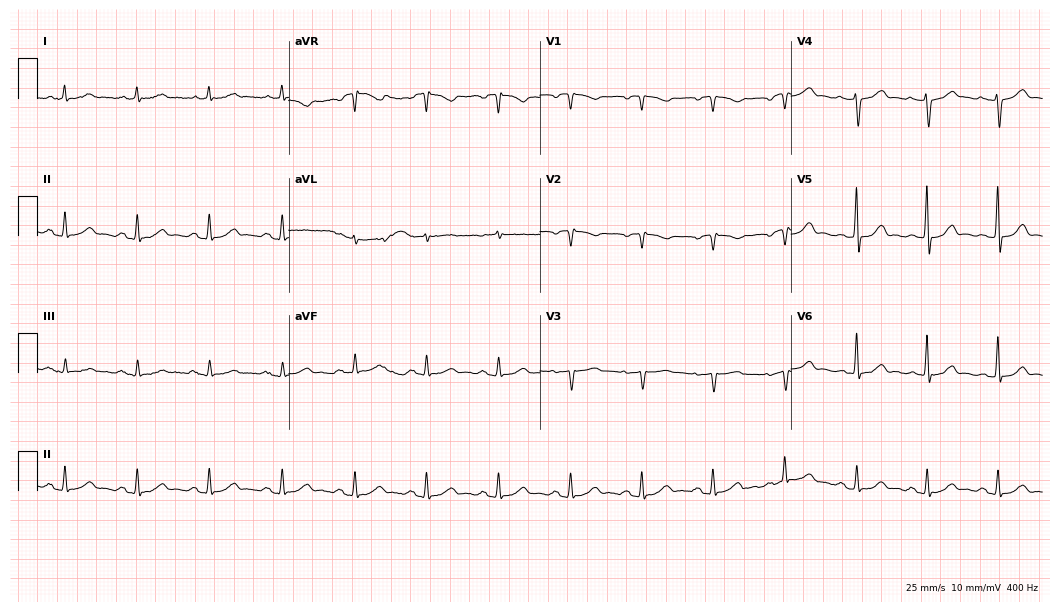
12-lead ECG (10.2-second recording at 400 Hz) from a male patient, 72 years old. Labelled as a normal ECG.